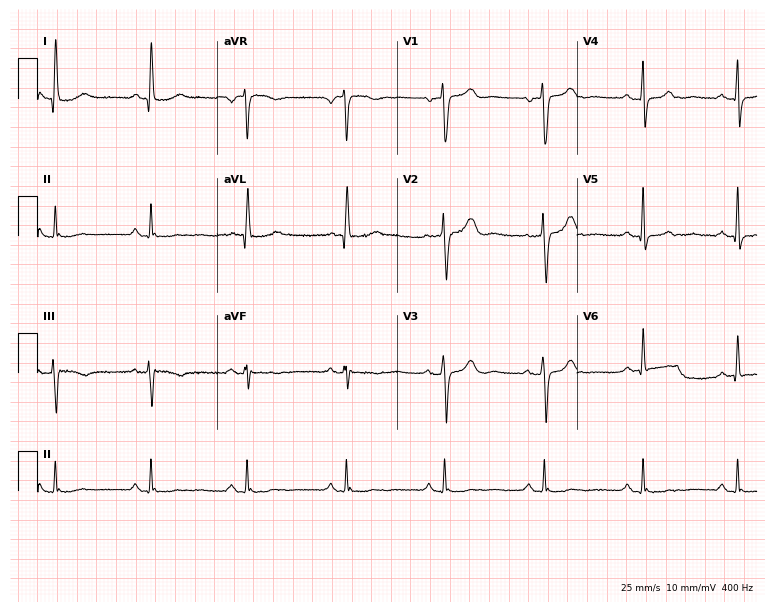
Resting 12-lead electrocardiogram. Patient: a 58-year-old woman. None of these six findings is recorded: first-degree AV block, right bundle branch block, left bundle branch block, sinus bradycardia, atrial fibrillation, sinus tachycardia.